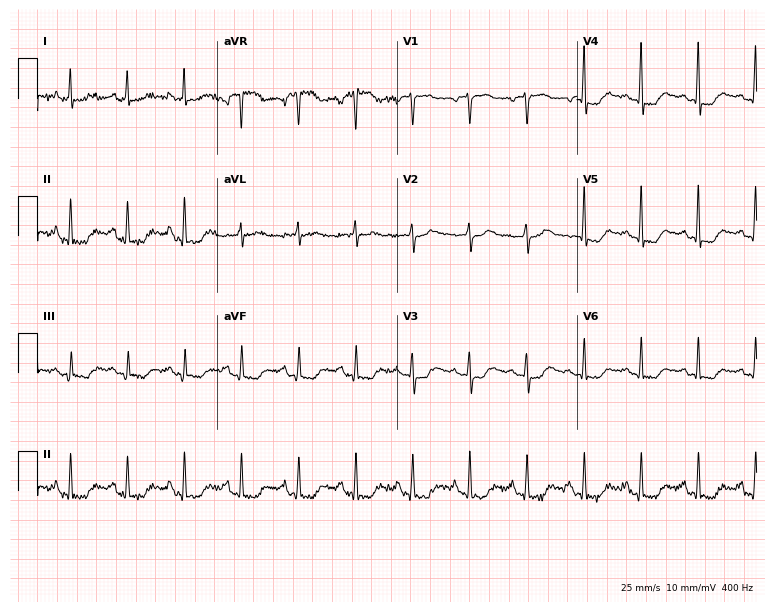
Standard 12-lead ECG recorded from a female, 60 years old (7.3-second recording at 400 Hz). None of these six findings is recorded: first-degree AV block, right bundle branch block, left bundle branch block, sinus bradycardia, atrial fibrillation, sinus tachycardia. Only these six findings were labelled.